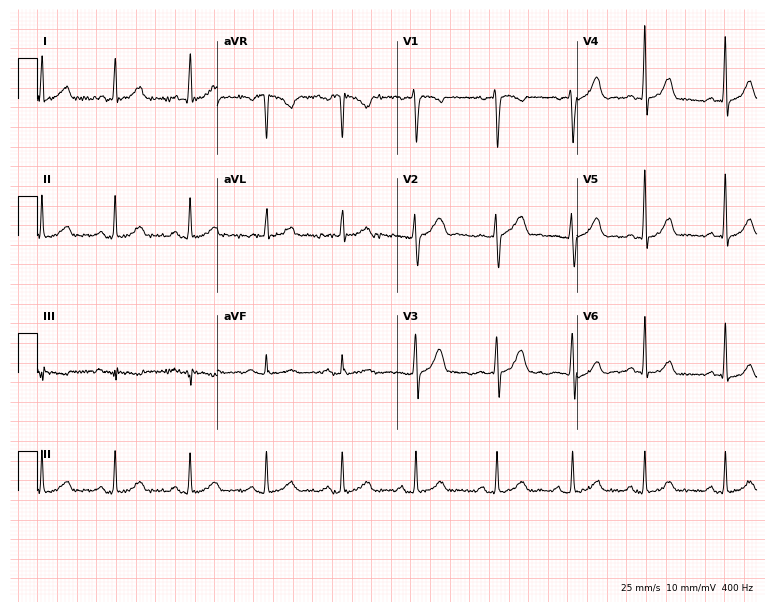
ECG (7.3-second recording at 400 Hz) — a female patient, 40 years old. Labelled as a normal ECG.